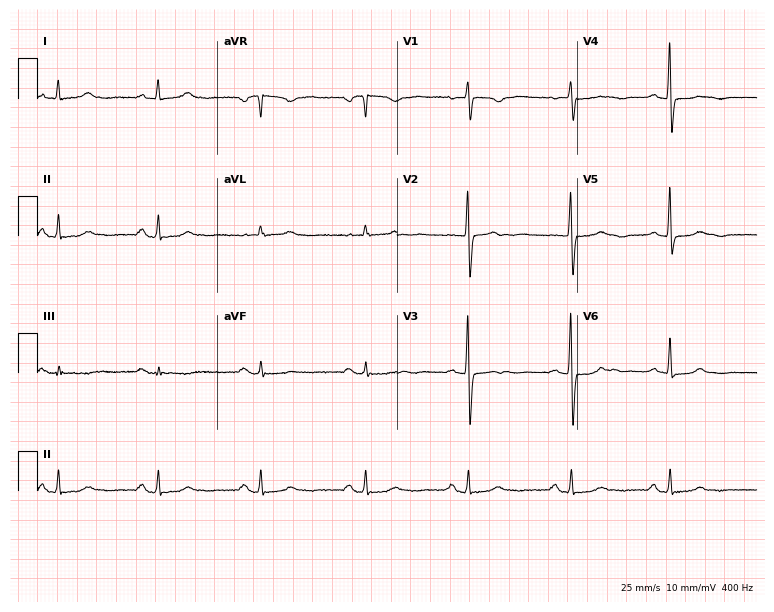
Resting 12-lead electrocardiogram. Patient: a 78-year-old woman. Read as a normal ECG.